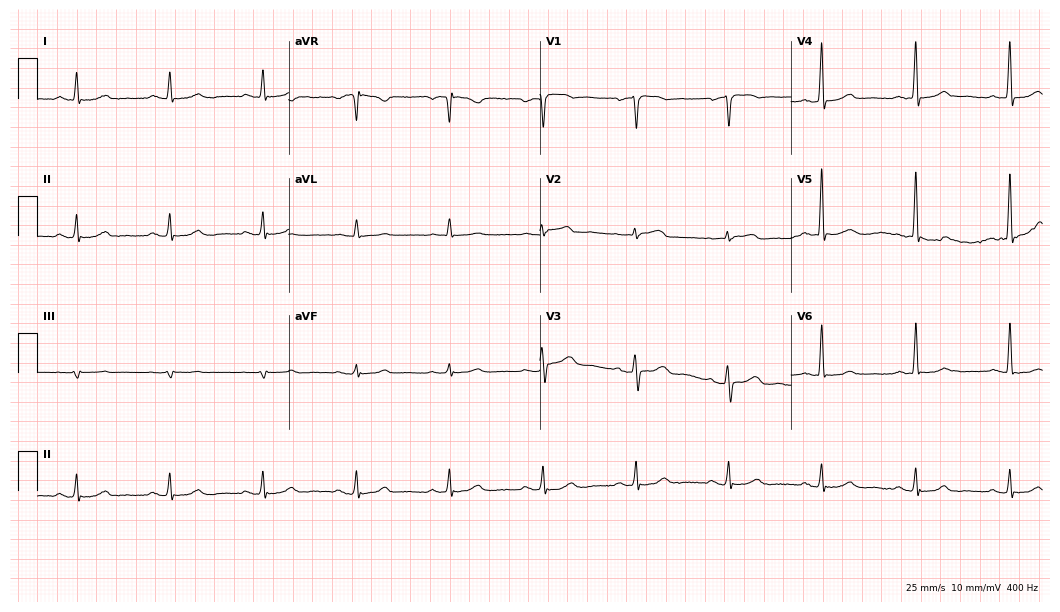
12-lead ECG from a 78-year-old male patient (10.2-second recording at 400 Hz). Recorded interpretation: within normal limits.